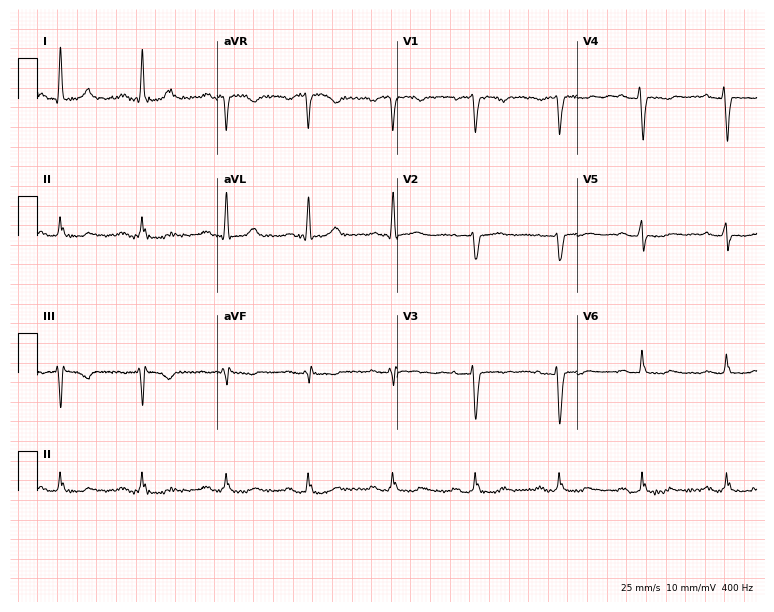
12-lead ECG from a female patient, 54 years old (7.3-second recording at 400 Hz). No first-degree AV block, right bundle branch block, left bundle branch block, sinus bradycardia, atrial fibrillation or sinus tachycardia recorded for this tracing. Other findings, if any, are not listed.